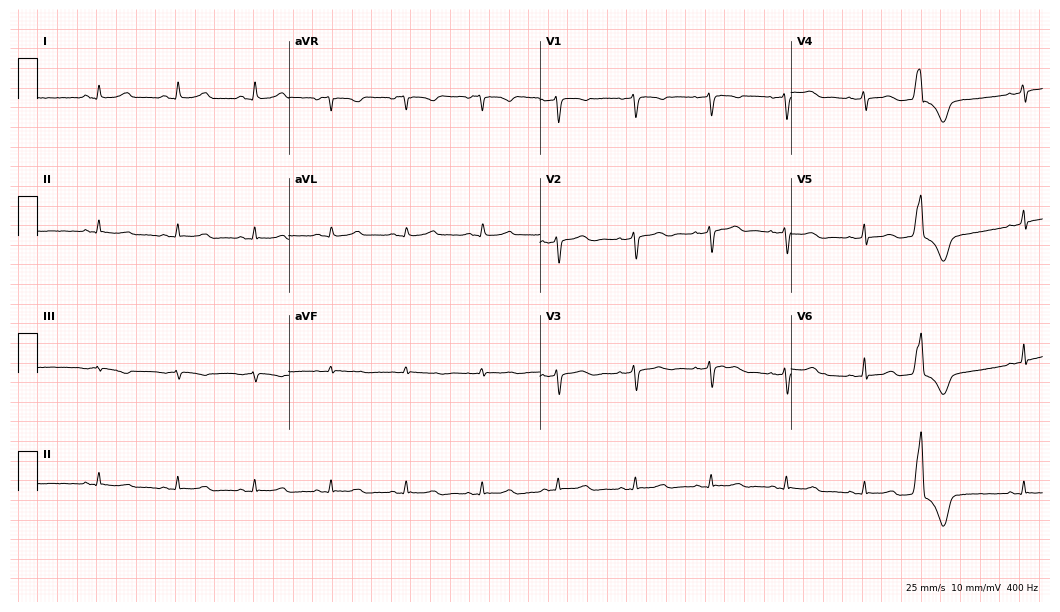
Standard 12-lead ECG recorded from an 81-year-old woman (10.2-second recording at 400 Hz). None of these six findings is recorded: first-degree AV block, right bundle branch block, left bundle branch block, sinus bradycardia, atrial fibrillation, sinus tachycardia. Only these six findings were labelled.